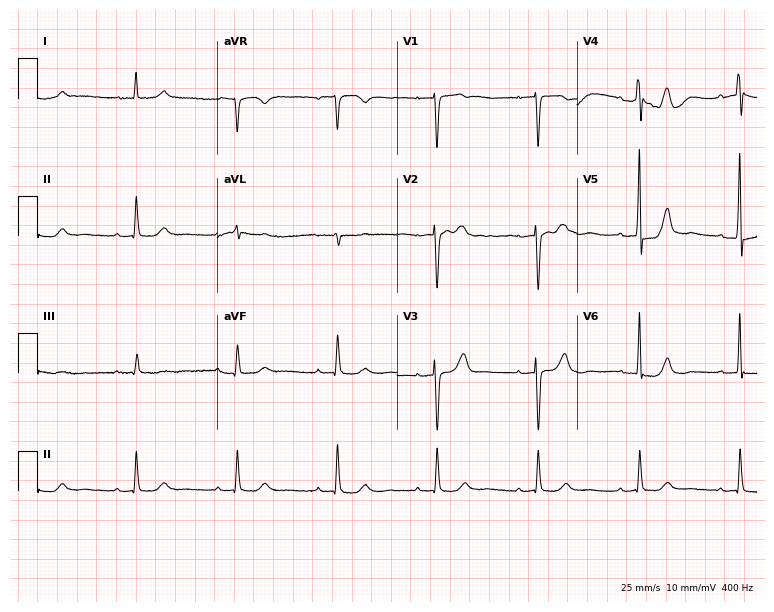
Standard 12-lead ECG recorded from an 88-year-old male patient (7.3-second recording at 400 Hz). Read as a normal ECG.